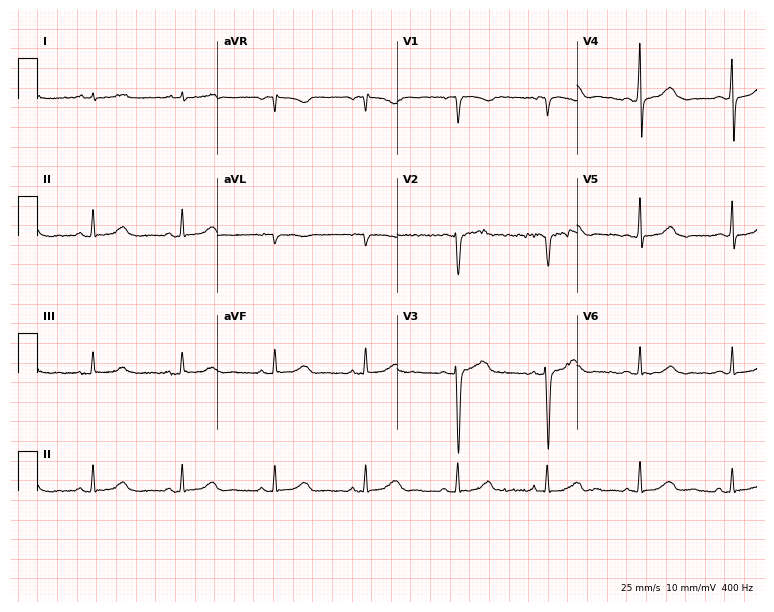
ECG (7.3-second recording at 400 Hz) — a female, 58 years old. Labelled as a normal ECG.